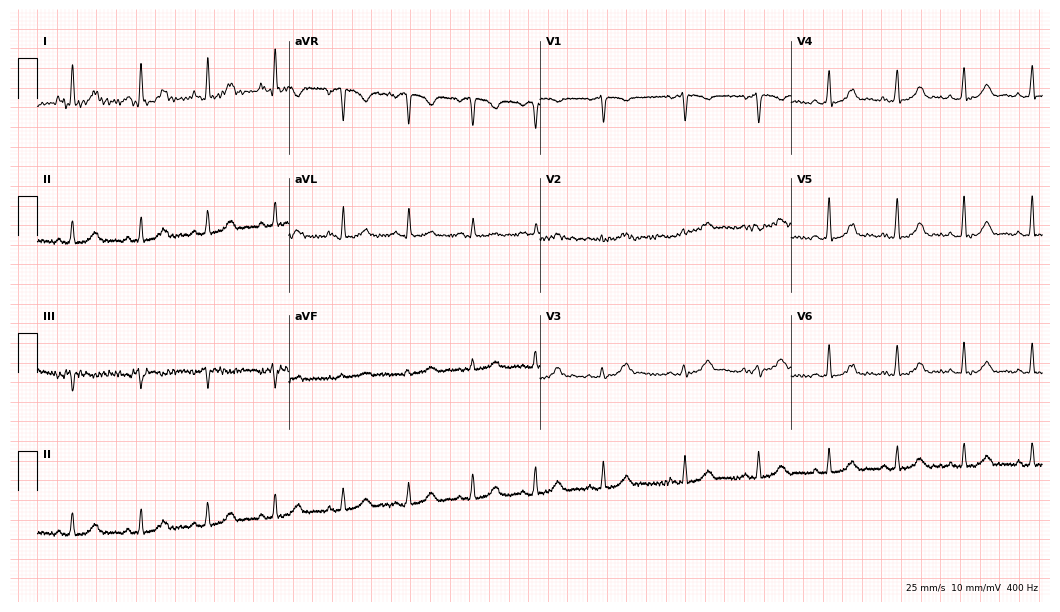
Resting 12-lead electrocardiogram (10.2-second recording at 400 Hz). Patient: a woman, 31 years old. Read as a normal ECG.